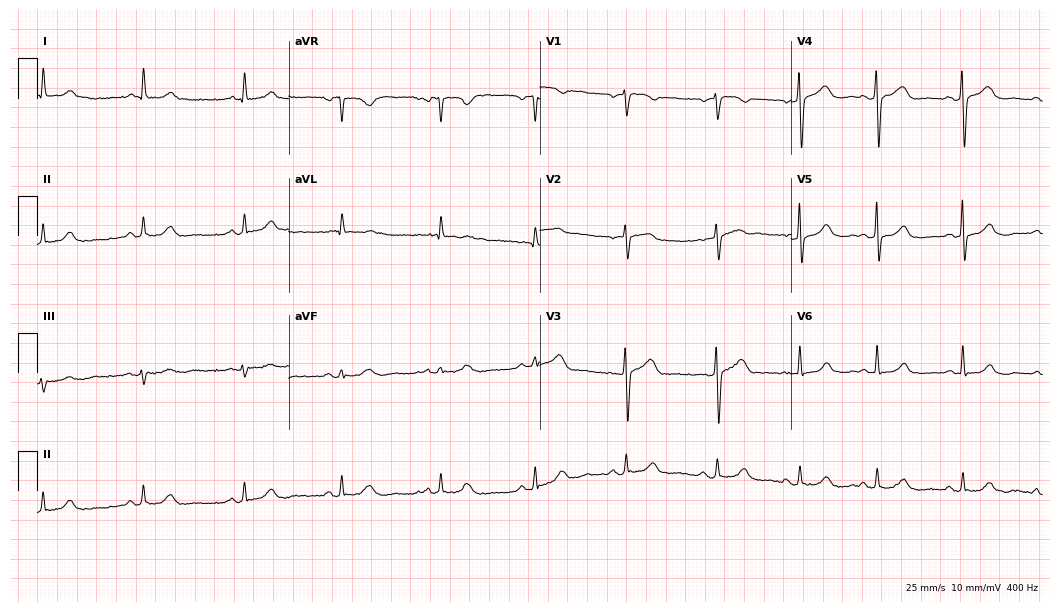
Electrocardiogram, a female patient, 57 years old. Overall reading on record: normal ECG.